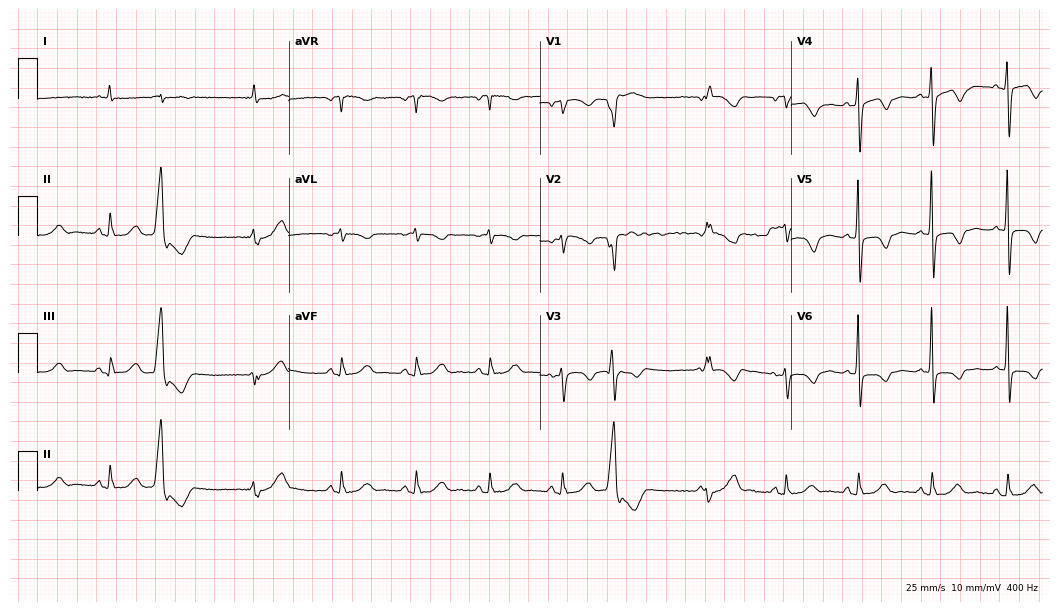
Standard 12-lead ECG recorded from a female patient, 78 years old. None of these six findings is recorded: first-degree AV block, right bundle branch block, left bundle branch block, sinus bradycardia, atrial fibrillation, sinus tachycardia. Other findings, if any, are not listed.